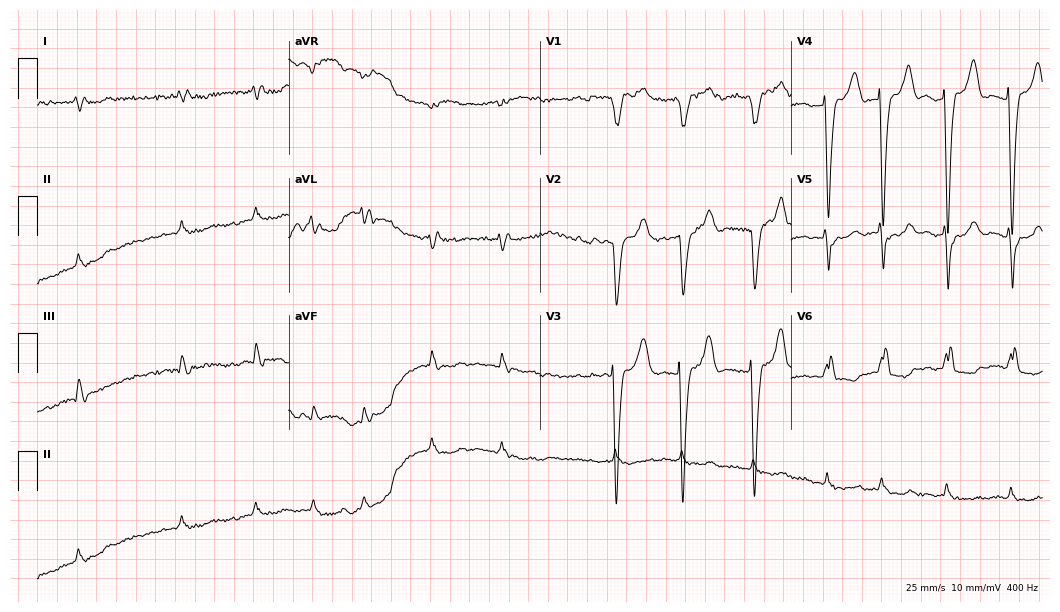
Resting 12-lead electrocardiogram (10.2-second recording at 400 Hz). Patient: an 85-year-old man. The tracing shows left bundle branch block (LBBB), atrial fibrillation (AF).